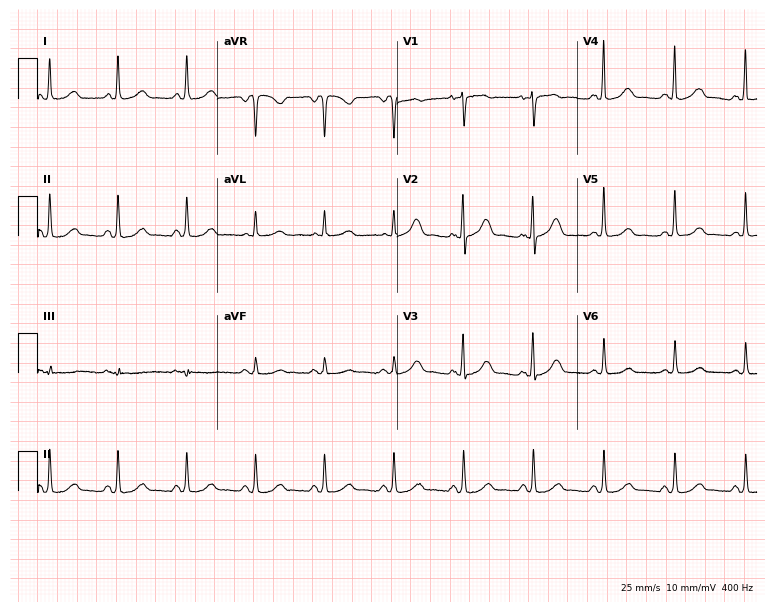
12-lead ECG from a female patient, 77 years old (7.3-second recording at 400 Hz). No first-degree AV block, right bundle branch block, left bundle branch block, sinus bradycardia, atrial fibrillation or sinus tachycardia recorded for this tracing. Findings outside these six are not listed.